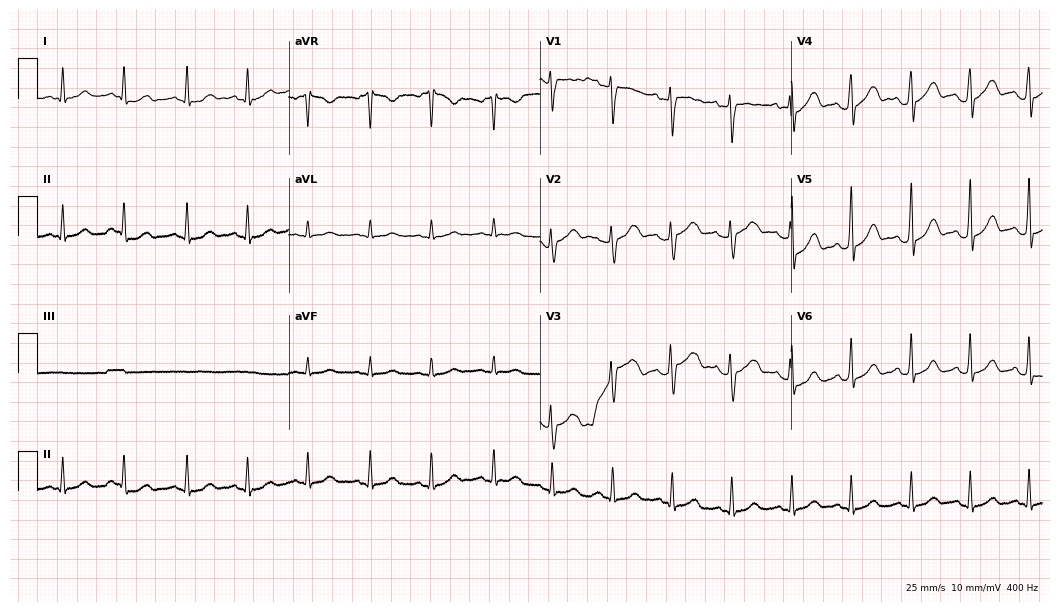
Standard 12-lead ECG recorded from an 18-year-old female patient (10.2-second recording at 400 Hz). Read as a normal ECG.